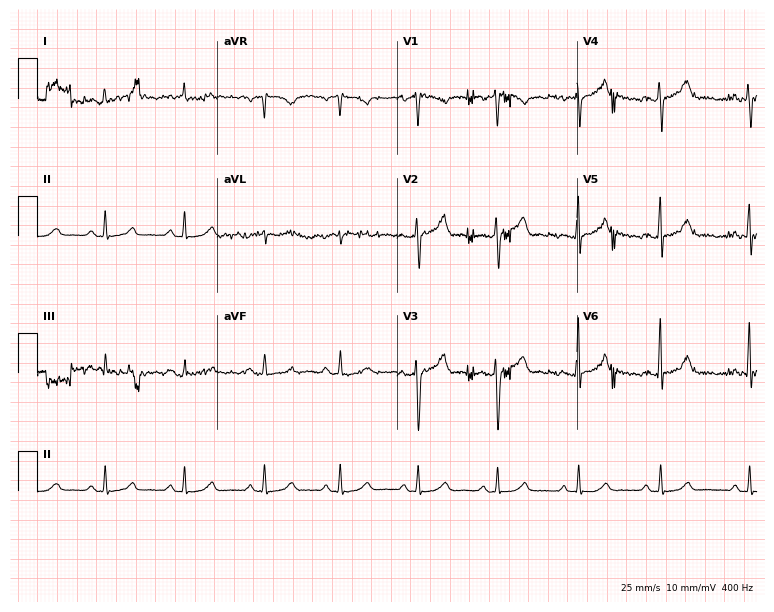
Standard 12-lead ECG recorded from a female, 41 years old (7.3-second recording at 400 Hz). Read as a normal ECG.